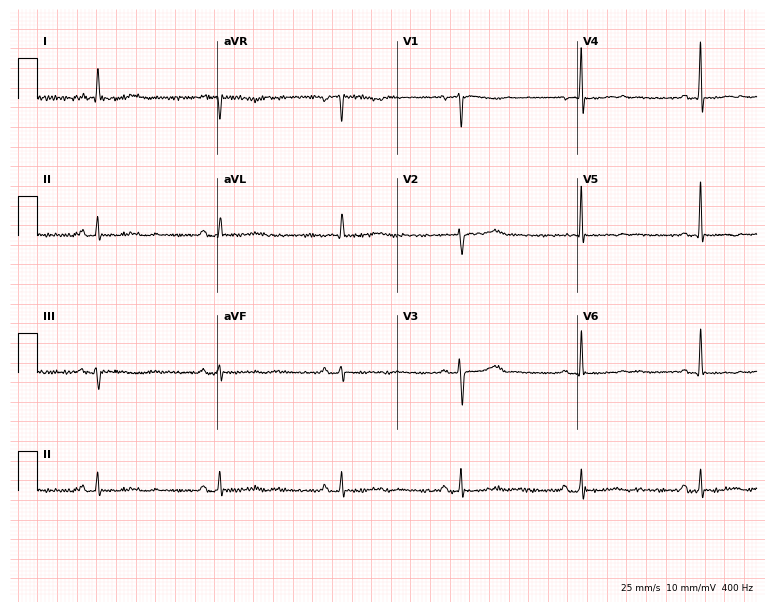
12-lead ECG from a female patient, 48 years old (7.3-second recording at 400 Hz). No first-degree AV block, right bundle branch block (RBBB), left bundle branch block (LBBB), sinus bradycardia, atrial fibrillation (AF) or sinus tachycardia recorded for this tracing. Only these six findings were labelled.